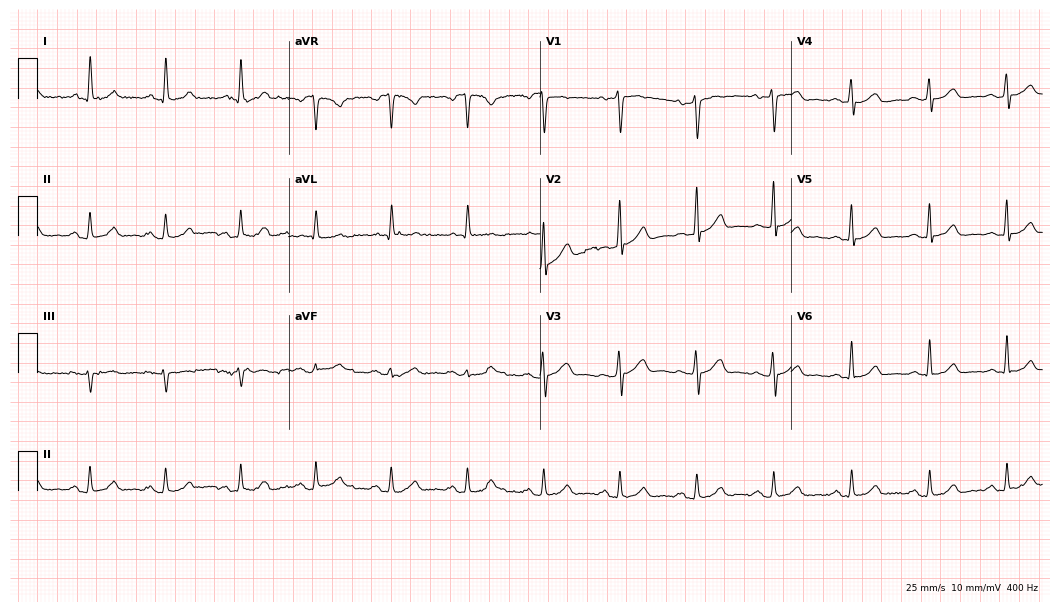
Electrocardiogram (10.2-second recording at 400 Hz), a female patient, 59 years old. Overall reading on record: normal ECG.